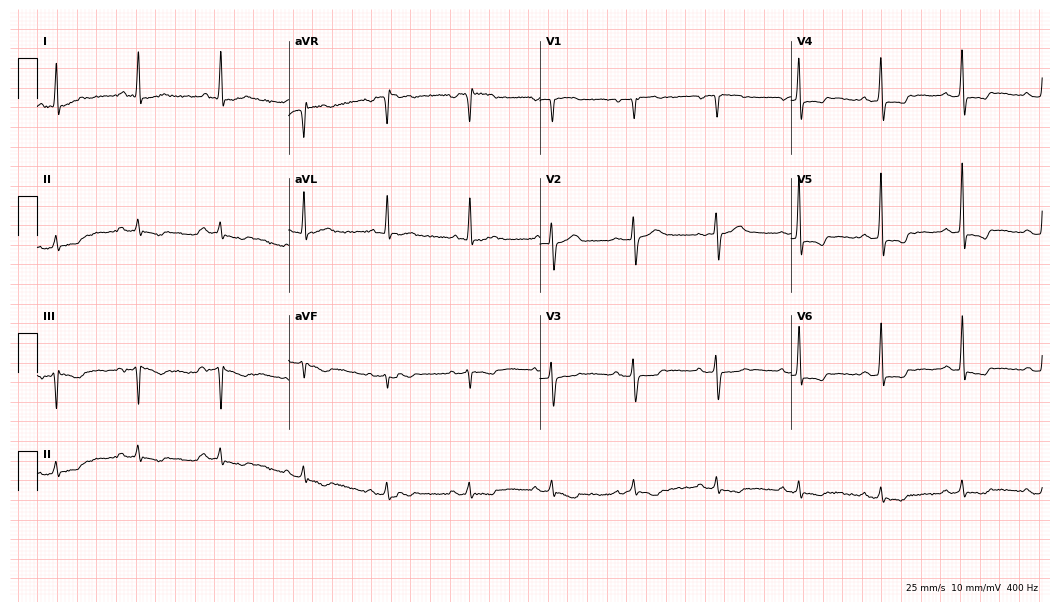
12-lead ECG from a 77-year-old male patient. No first-degree AV block, right bundle branch block, left bundle branch block, sinus bradycardia, atrial fibrillation or sinus tachycardia recorded for this tracing.